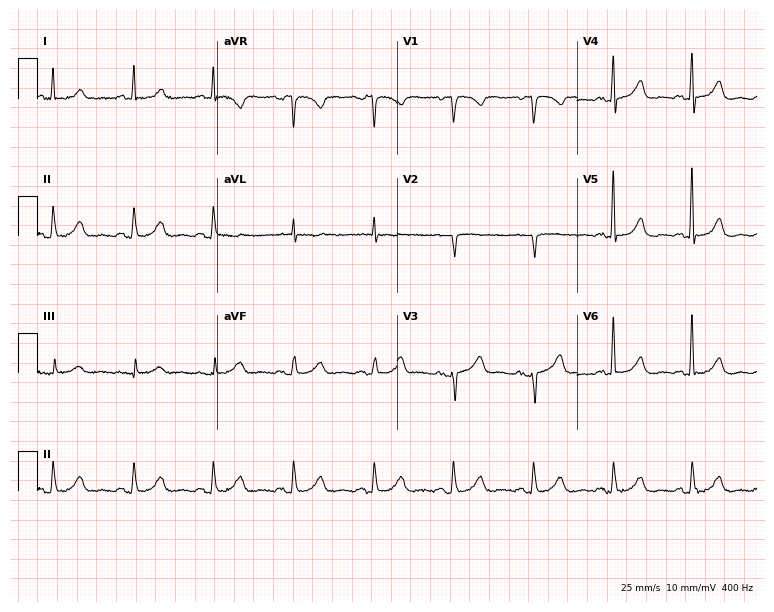
ECG (7.3-second recording at 400 Hz) — an 80-year-old man. Screened for six findings — first-degree AV block, right bundle branch block, left bundle branch block, sinus bradycardia, atrial fibrillation, sinus tachycardia — none is recorded.